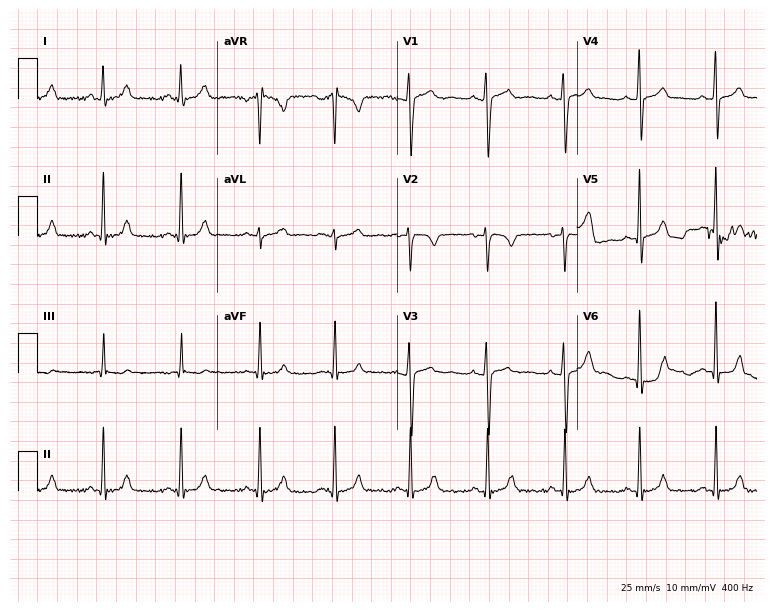
12-lead ECG from a woman, 20 years old (7.3-second recording at 400 Hz). Recorded interpretation: within normal limits.